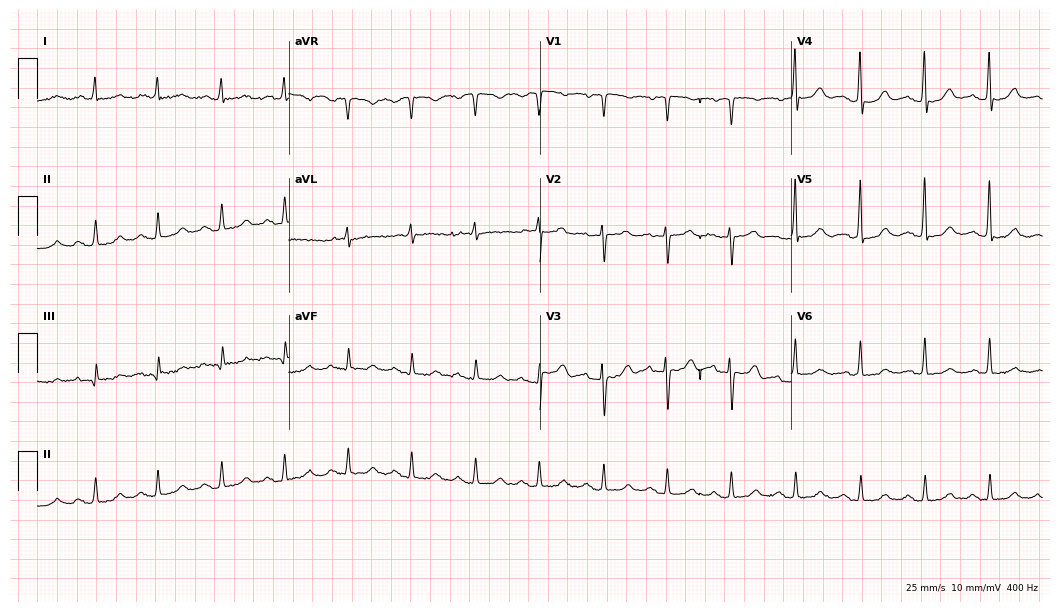
12-lead ECG from an 83-year-old female. No first-degree AV block, right bundle branch block, left bundle branch block, sinus bradycardia, atrial fibrillation or sinus tachycardia recorded for this tracing.